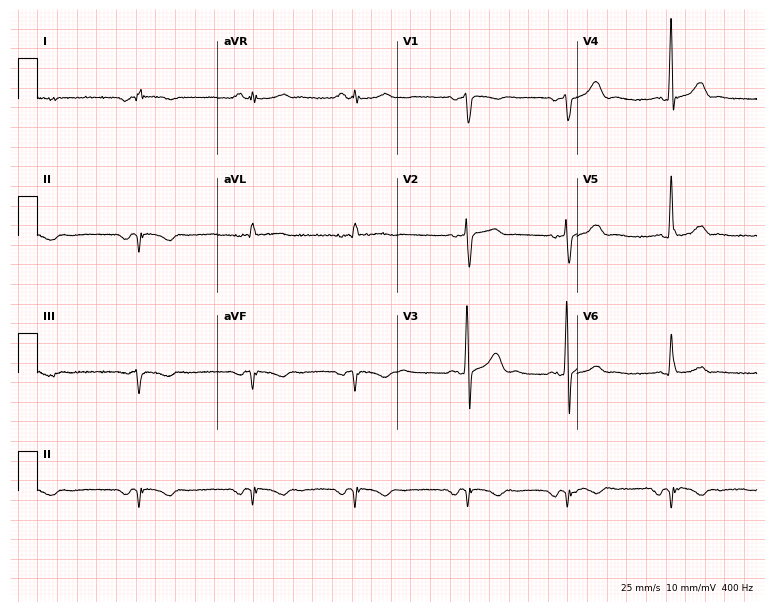
Standard 12-lead ECG recorded from a man, 42 years old (7.3-second recording at 400 Hz). None of these six findings is recorded: first-degree AV block, right bundle branch block (RBBB), left bundle branch block (LBBB), sinus bradycardia, atrial fibrillation (AF), sinus tachycardia.